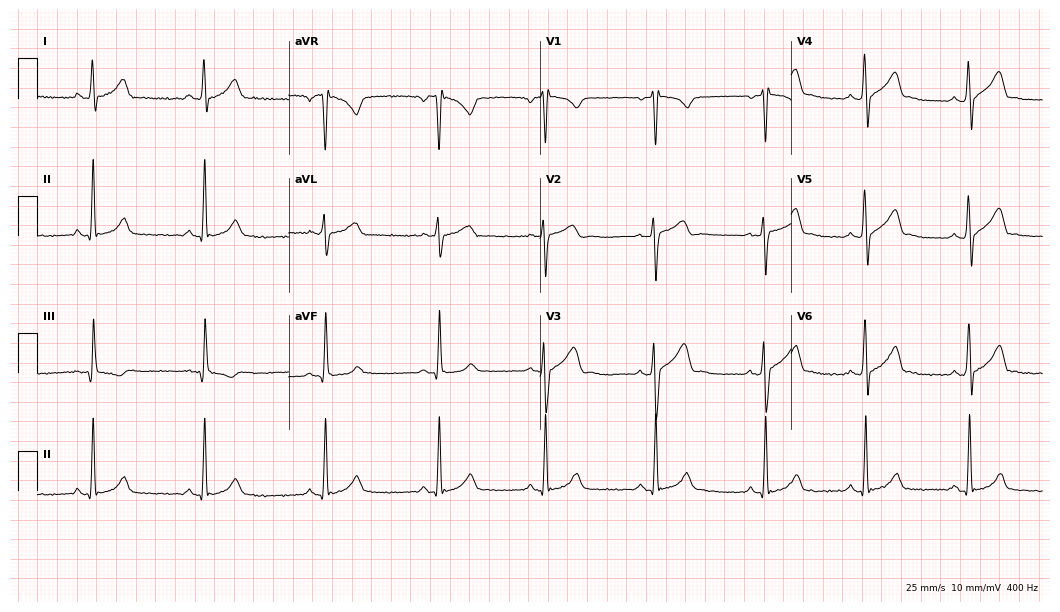
Electrocardiogram (10.2-second recording at 400 Hz), a male, 22 years old. Of the six screened findings (first-degree AV block, right bundle branch block (RBBB), left bundle branch block (LBBB), sinus bradycardia, atrial fibrillation (AF), sinus tachycardia), none is recorded.